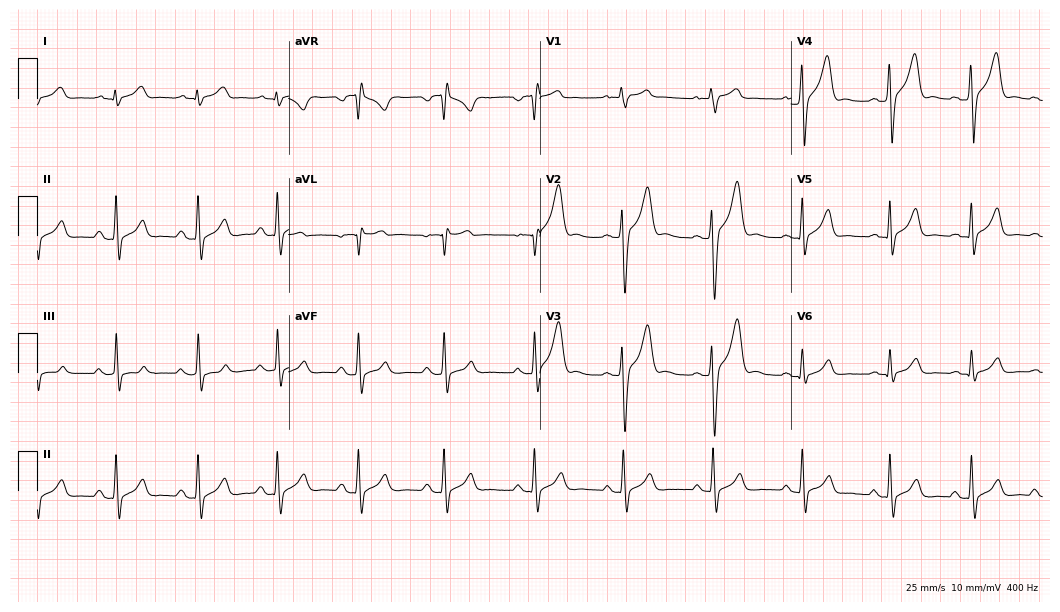
ECG (10.2-second recording at 400 Hz) — a male patient, 17 years old. Labelled as a normal ECG.